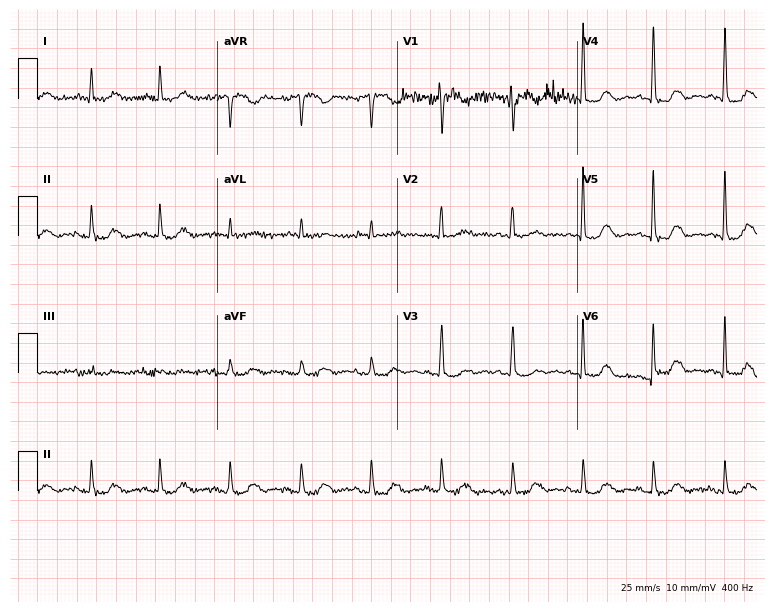
12-lead ECG (7.3-second recording at 400 Hz) from a female patient, 80 years old. Labelled as a normal ECG.